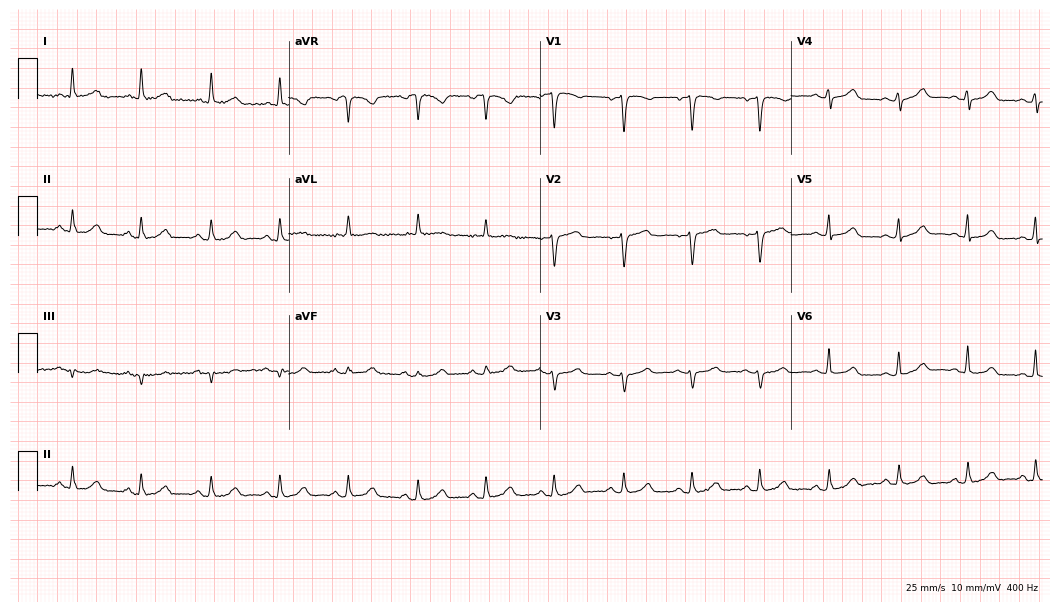
ECG — a 52-year-old woman. Labelled as a normal ECG.